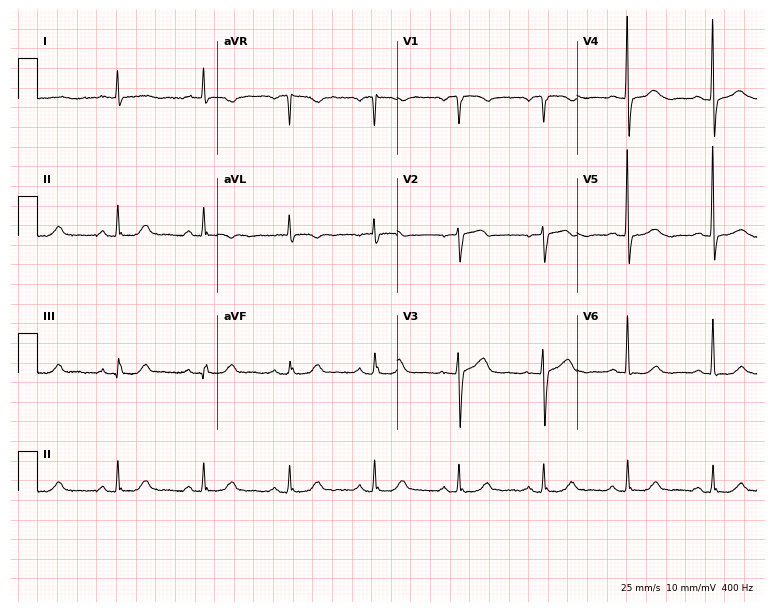
ECG (7.3-second recording at 400 Hz) — a female patient, 76 years old. Labelled as a normal ECG.